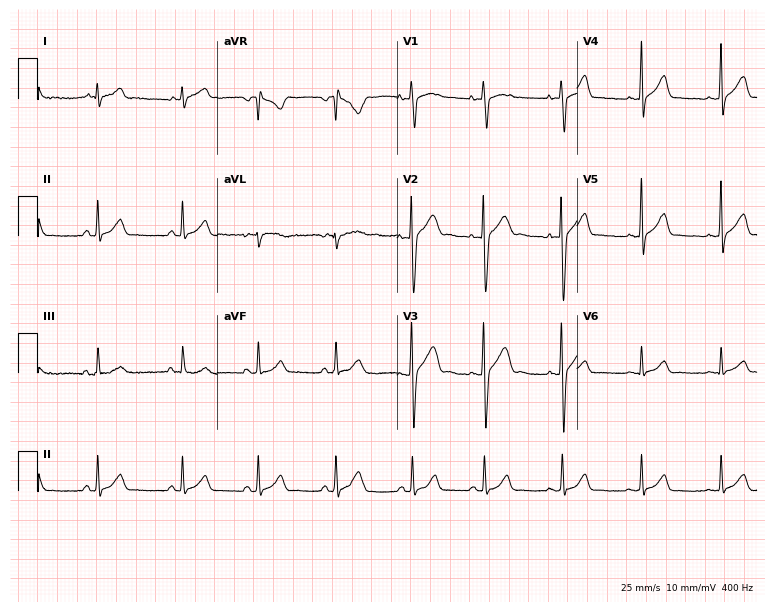
Resting 12-lead electrocardiogram. Patient: a man, 20 years old. Read as a normal ECG.